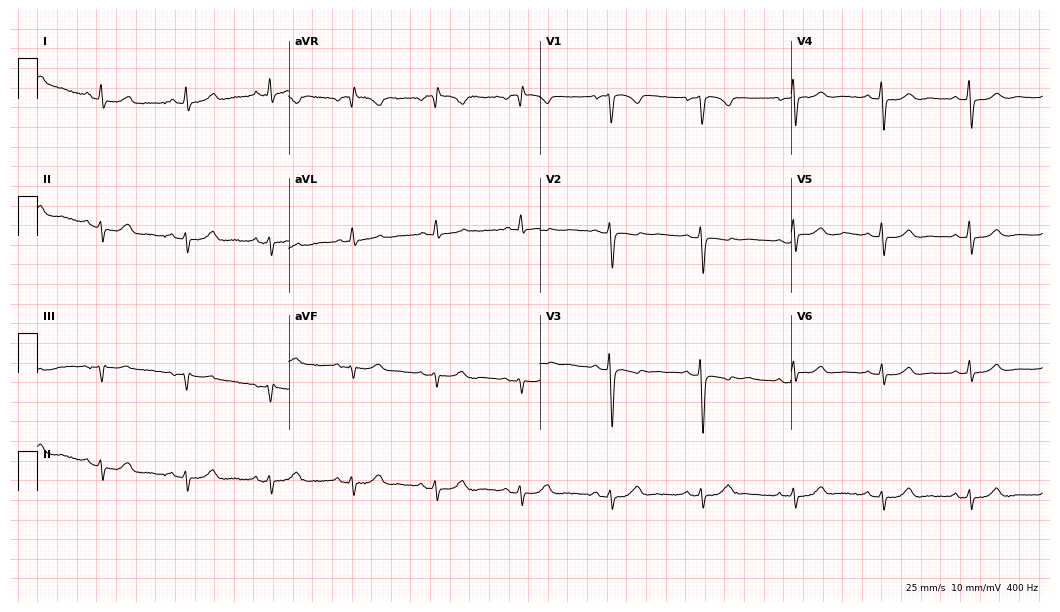
Standard 12-lead ECG recorded from a 60-year-old female. None of these six findings is recorded: first-degree AV block, right bundle branch block (RBBB), left bundle branch block (LBBB), sinus bradycardia, atrial fibrillation (AF), sinus tachycardia. Only these six findings were labelled.